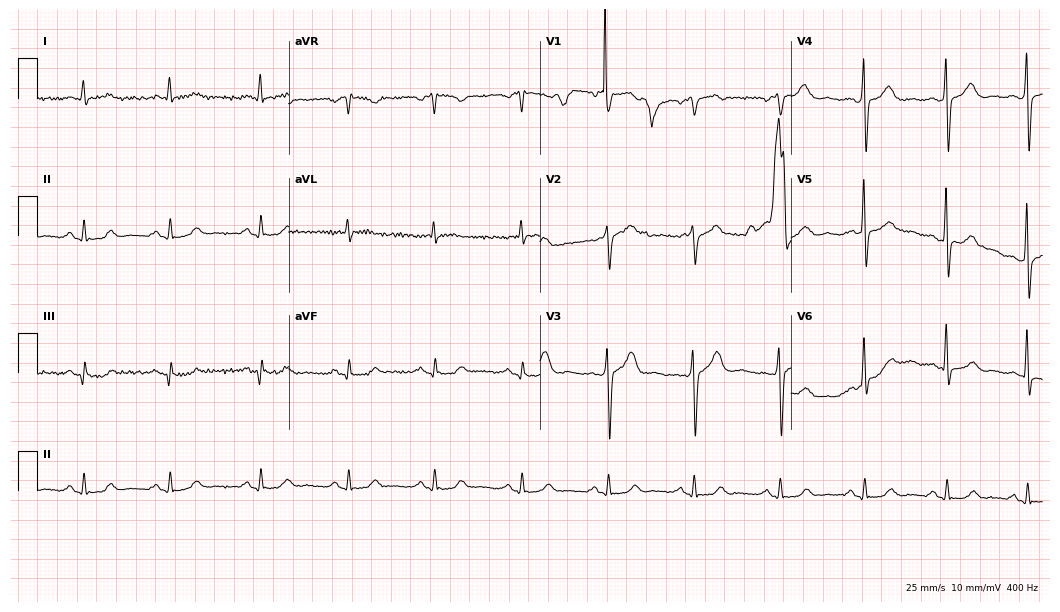
Resting 12-lead electrocardiogram. Patient: a 64-year-old male. None of these six findings is recorded: first-degree AV block, right bundle branch block, left bundle branch block, sinus bradycardia, atrial fibrillation, sinus tachycardia.